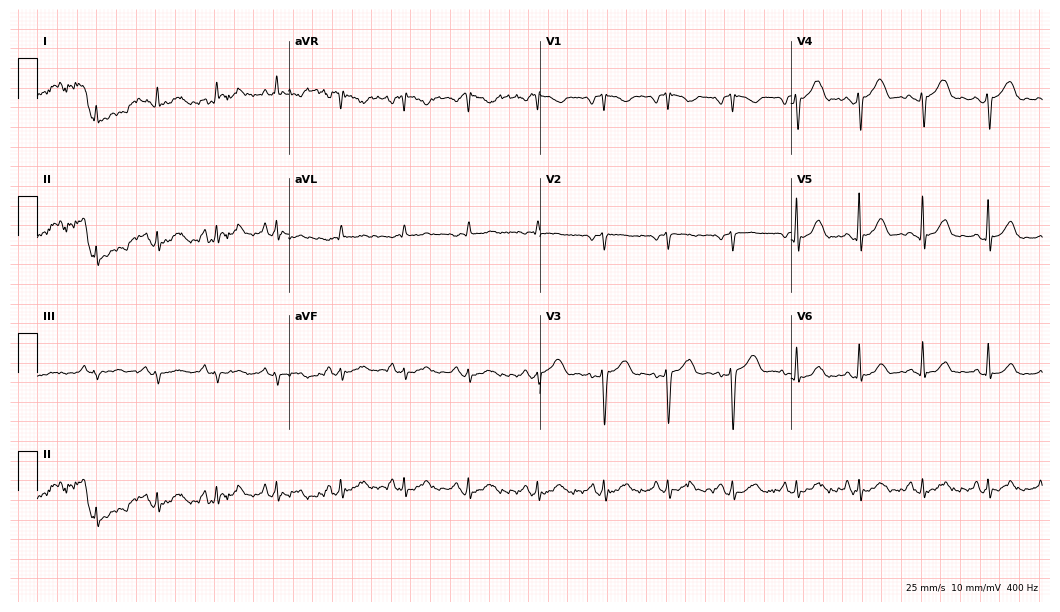
Resting 12-lead electrocardiogram. Patient: a 27-year-old woman. None of these six findings is recorded: first-degree AV block, right bundle branch block, left bundle branch block, sinus bradycardia, atrial fibrillation, sinus tachycardia.